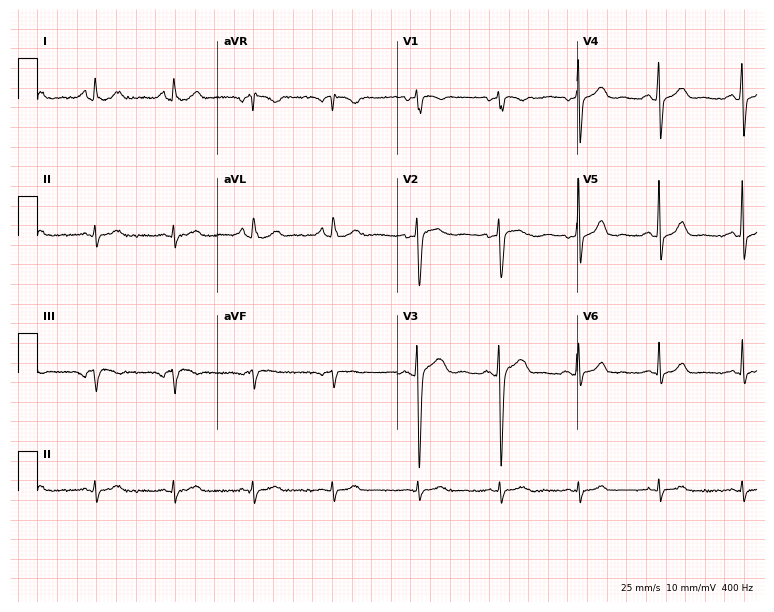
Electrocardiogram (7.3-second recording at 400 Hz), a 49-year-old man. Overall reading on record: normal ECG.